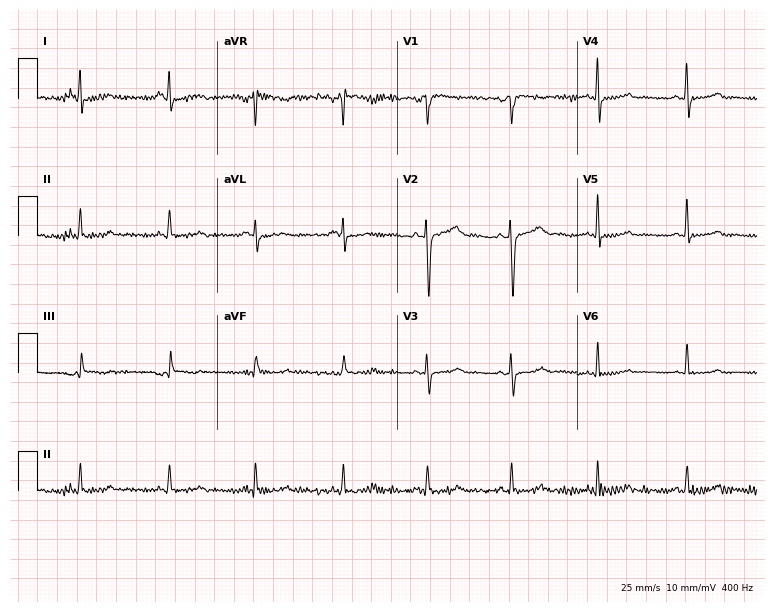
12-lead ECG from a female, 51 years old. No first-degree AV block, right bundle branch block (RBBB), left bundle branch block (LBBB), sinus bradycardia, atrial fibrillation (AF) or sinus tachycardia recorded for this tracing. Other findings, if any, are not listed.